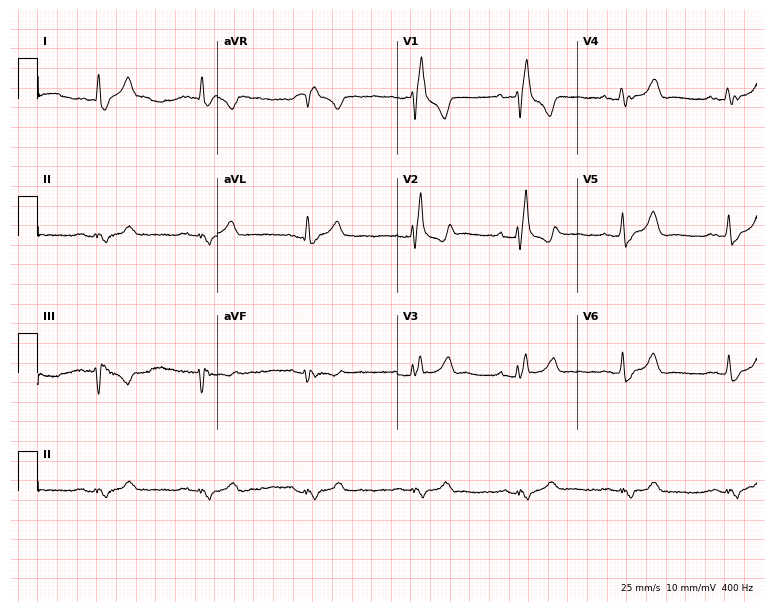
Resting 12-lead electrocardiogram (7.3-second recording at 400 Hz). Patient: a male, 57 years old. The tracing shows right bundle branch block.